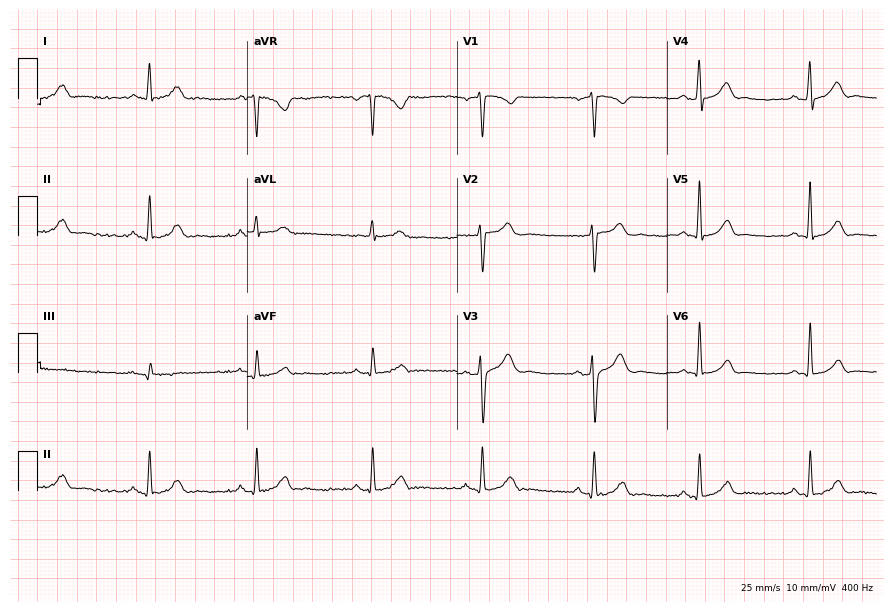
Standard 12-lead ECG recorded from a male patient, 30 years old. Read as a normal ECG.